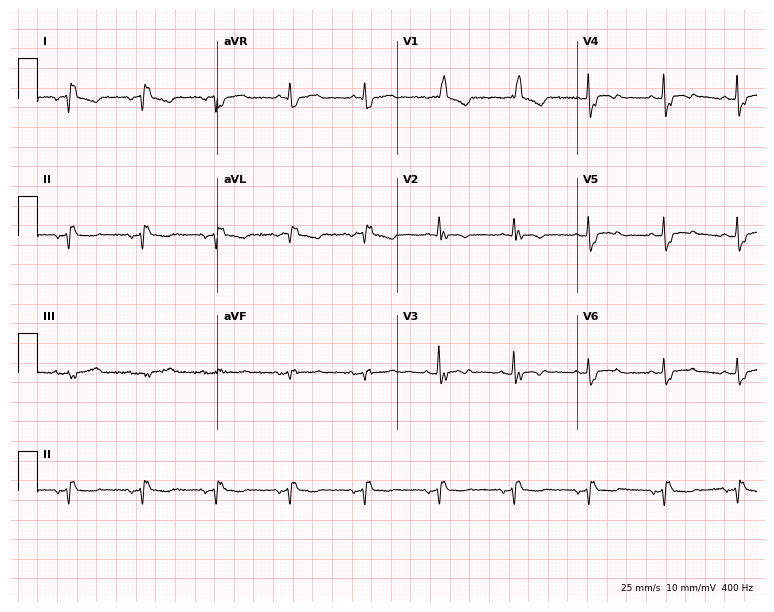
Resting 12-lead electrocardiogram (7.3-second recording at 400 Hz). Patient: a female, 83 years old. None of these six findings is recorded: first-degree AV block, right bundle branch block, left bundle branch block, sinus bradycardia, atrial fibrillation, sinus tachycardia. Only these six findings were labelled.